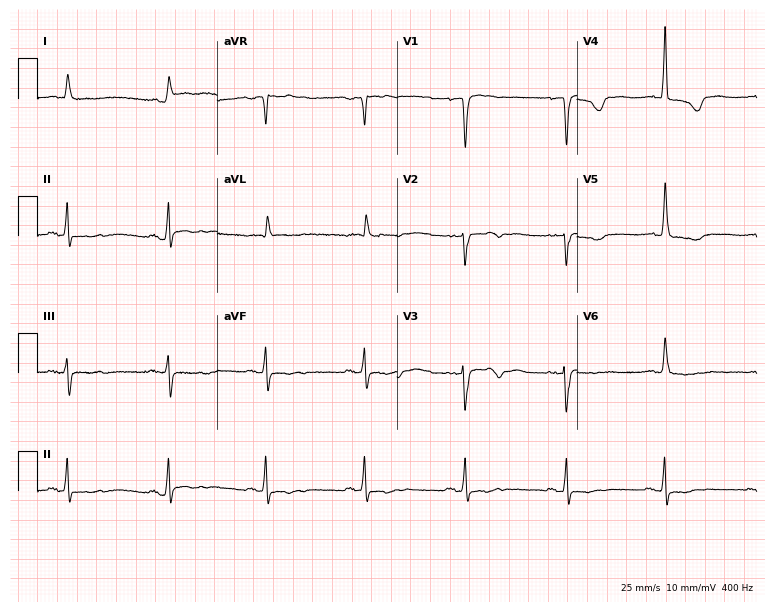
12-lead ECG from a 63-year-old female. Screened for six findings — first-degree AV block, right bundle branch block, left bundle branch block, sinus bradycardia, atrial fibrillation, sinus tachycardia — none is recorded.